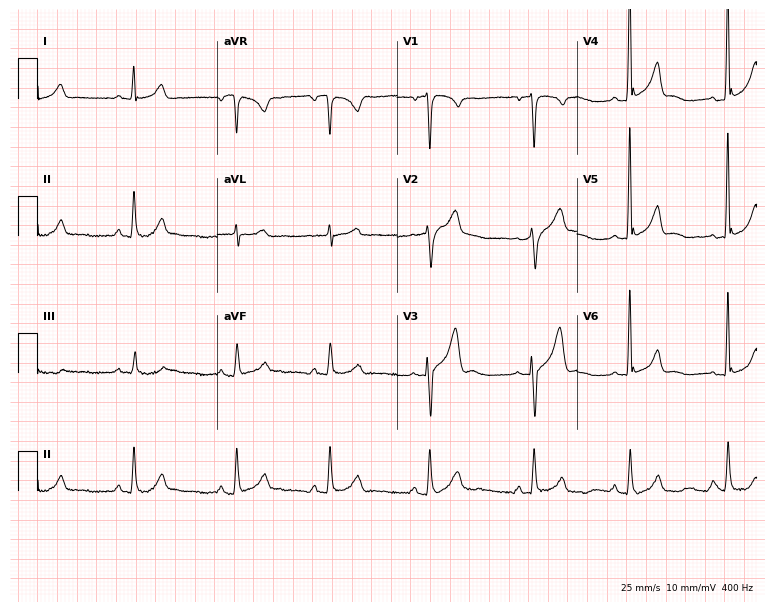
Resting 12-lead electrocardiogram (7.3-second recording at 400 Hz). Patient: a 32-year-old male. Read as a normal ECG.